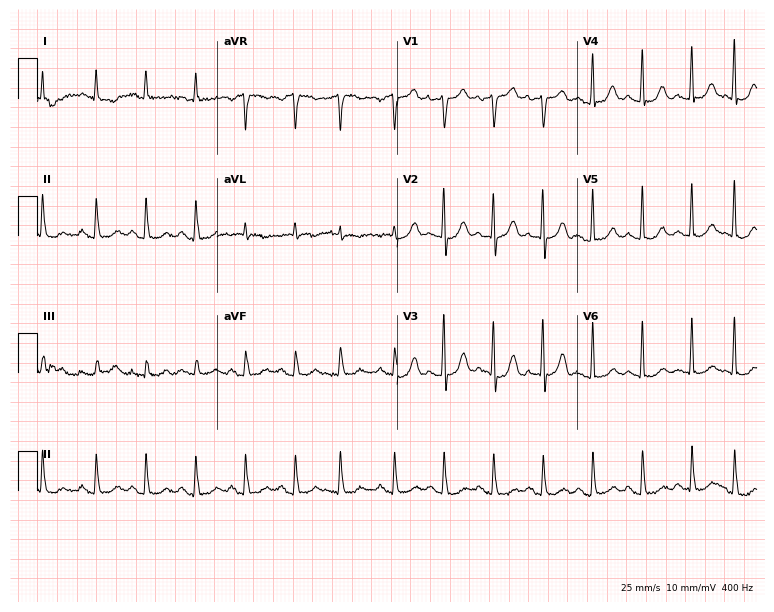
12-lead ECG from a male patient, 79 years old. Shows sinus tachycardia (a sinus rate of 100 beats per minute or more).